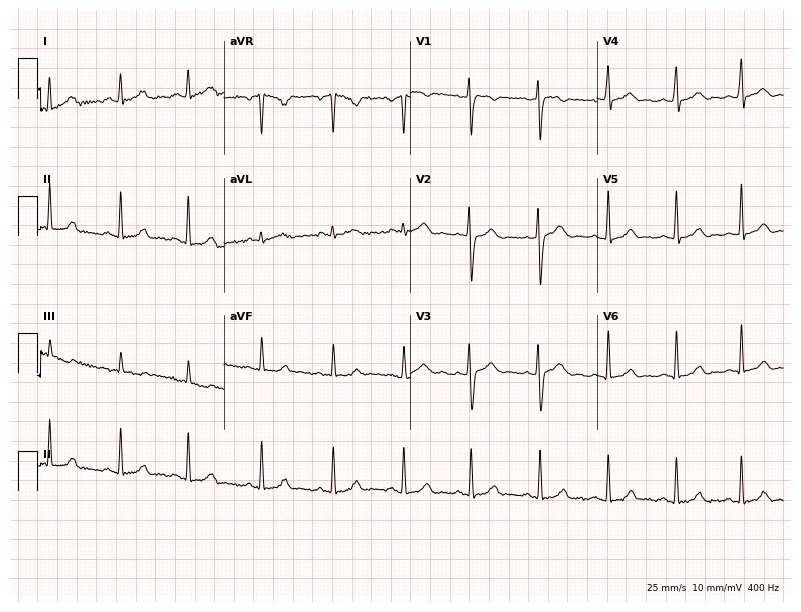
ECG — a female patient, 21 years old. Labelled as a normal ECG.